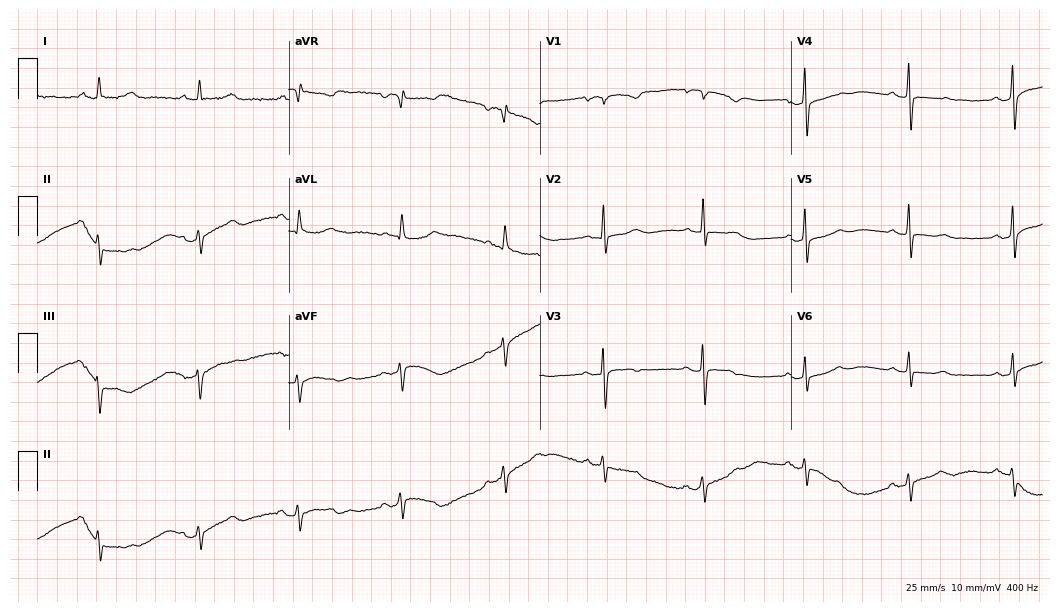
ECG (10.2-second recording at 400 Hz) — a man, 57 years old. Screened for six findings — first-degree AV block, right bundle branch block (RBBB), left bundle branch block (LBBB), sinus bradycardia, atrial fibrillation (AF), sinus tachycardia — none is recorded.